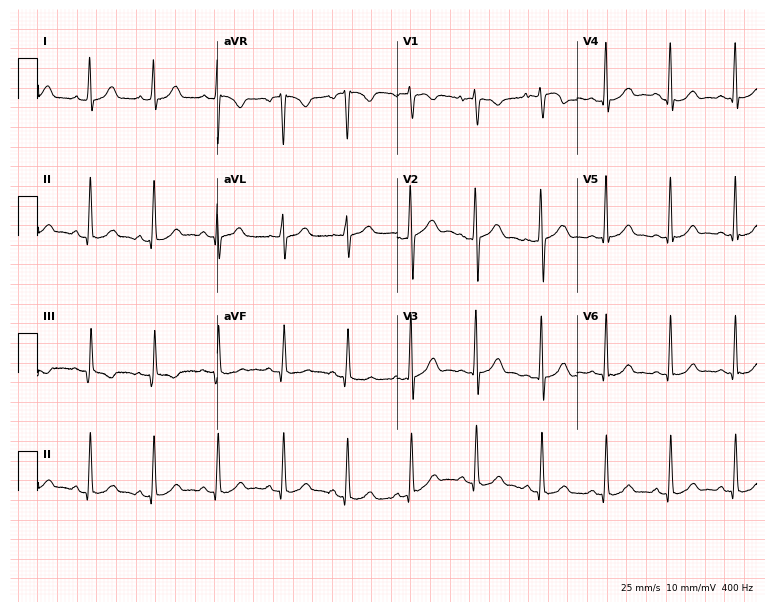
Standard 12-lead ECG recorded from a 31-year-old female patient. Read as a normal ECG.